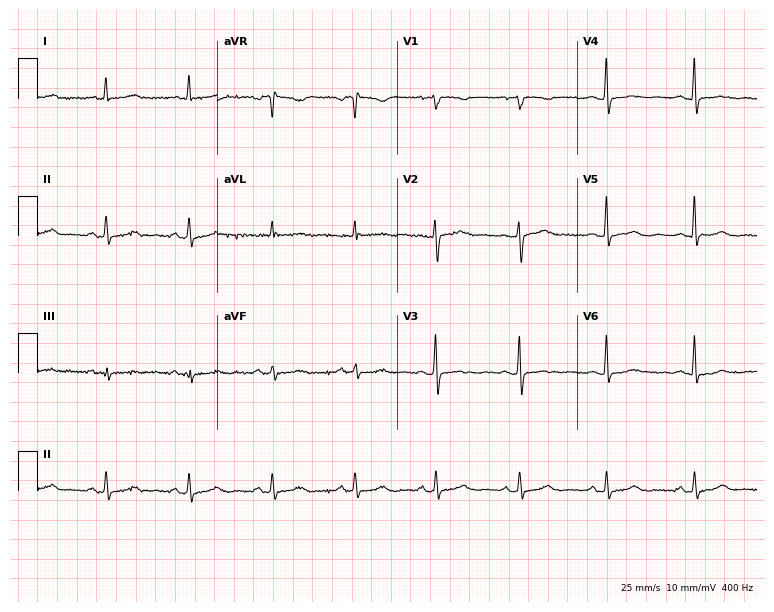
12-lead ECG (7.3-second recording at 400 Hz) from a woman, 63 years old. Screened for six findings — first-degree AV block, right bundle branch block, left bundle branch block, sinus bradycardia, atrial fibrillation, sinus tachycardia — none is recorded. Other findings, if any, are not listed.